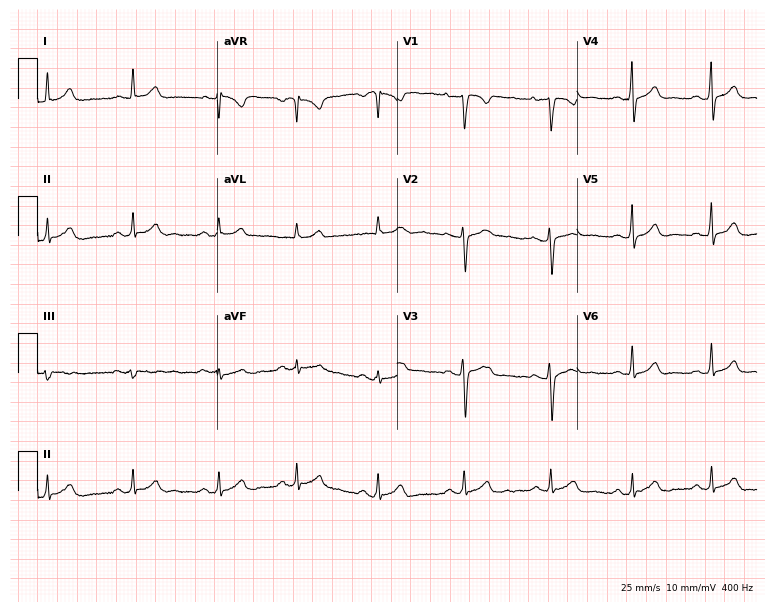
ECG — a 17-year-old woman. Labelled as a normal ECG.